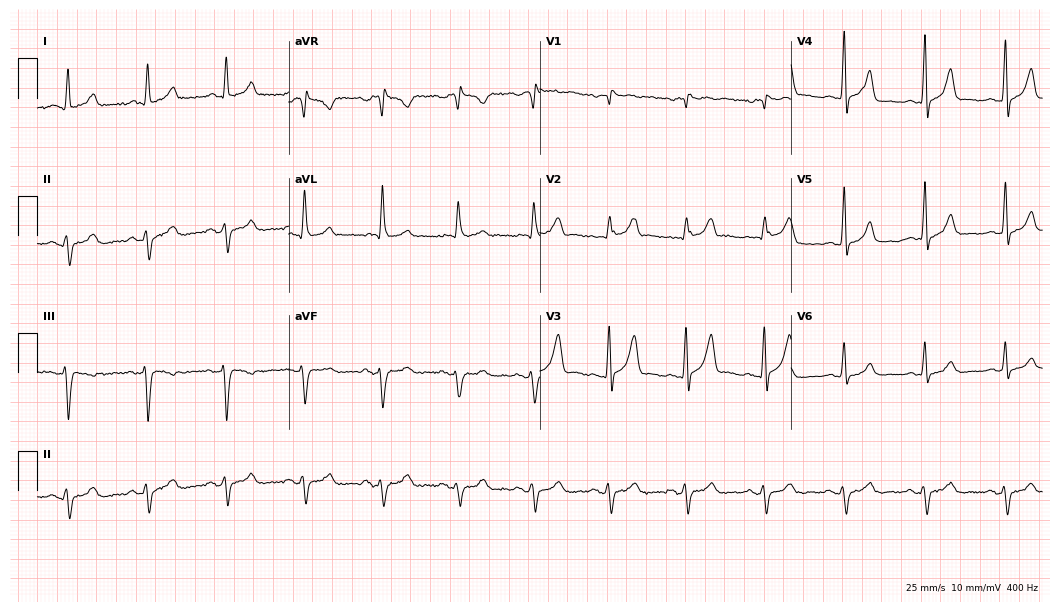
Electrocardiogram, a 63-year-old male. Of the six screened findings (first-degree AV block, right bundle branch block (RBBB), left bundle branch block (LBBB), sinus bradycardia, atrial fibrillation (AF), sinus tachycardia), none is recorded. Only these six findings were labelled.